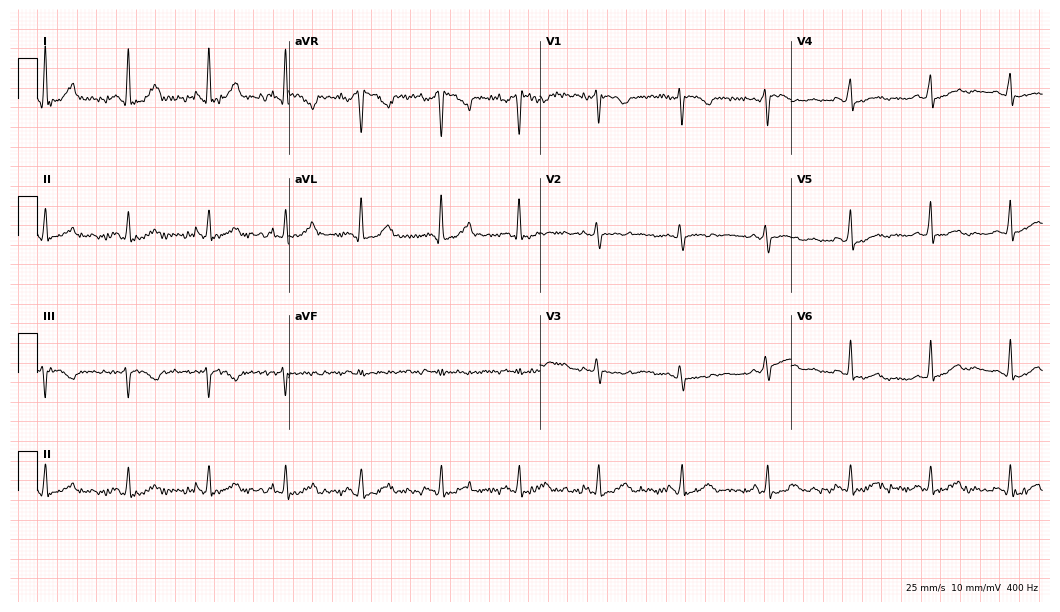
Electrocardiogram, a 41-year-old female patient. Of the six screened findings (first-degree AV block, right bundle branch block, left bundle branch block, sinus bradycardia, atrial fibrillation, sinus tachycardia), none is recorded.